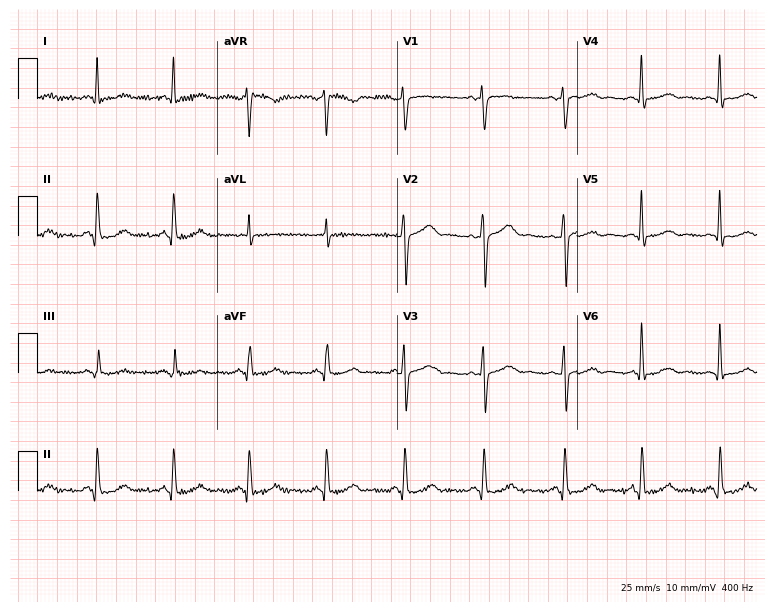
Standard 12-lead ECG recorded from a 54-year-old woman (7.3-second recording at 400 Hz). None of these six findings is recorded: first-degree AV block, right bundle branch block, left bundle branch block, sinus bradycardia, atrial fibrillation, sinus tachycardia. Other findings, if any, are not listed.